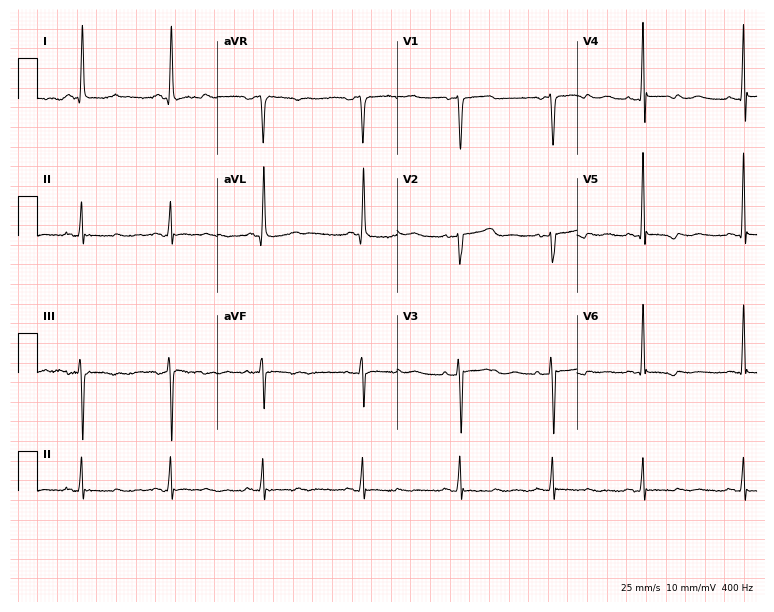
Resting 12-lead electrocardiogram. Patient: a 76-year-old female. None of these six findings is recorded: first-degree AV block, right bundle branch block, left bundle branch block, sinus bradycardia, atrial fibrillation, sinus tachycardia.